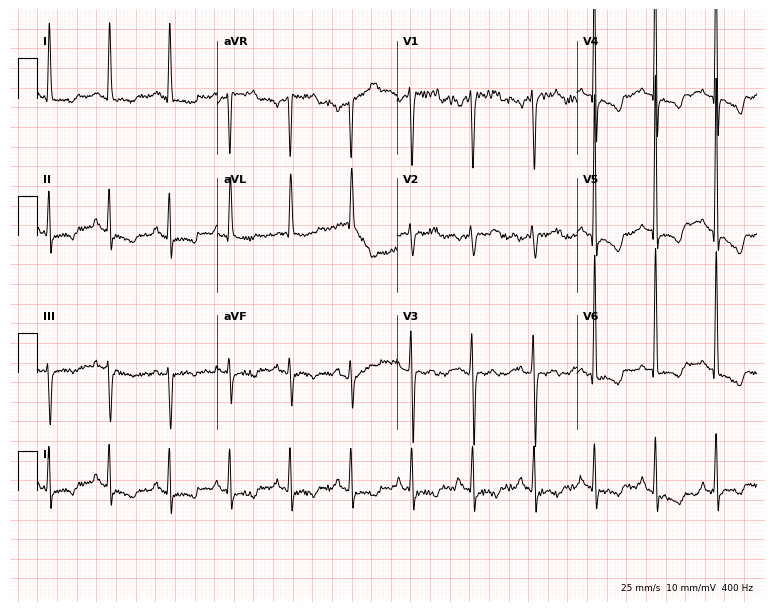
12-lead ECG from a female patient, 76 years old. Screened for six findings — first-degree AV block, right bundle branch block, left bundle branch block, sinus bradycardia, atrial fibrillation, sinus tachycardia — none is recorded.